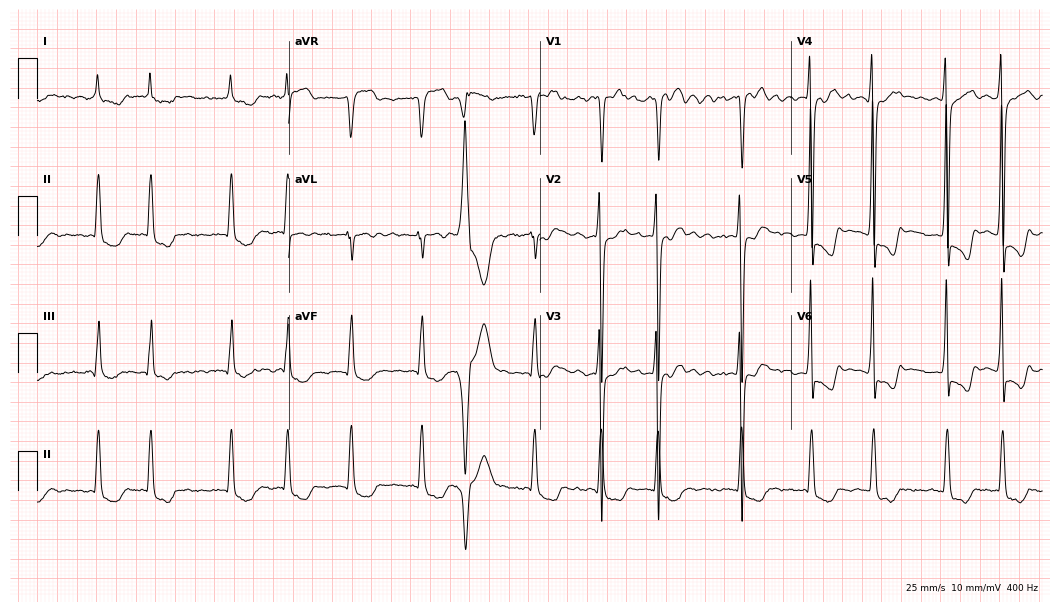
Resting 12-lead electrocardiogram. Patient: a man, 75 years old. The tracing shows right bundle branch block, atrial fibrillation.